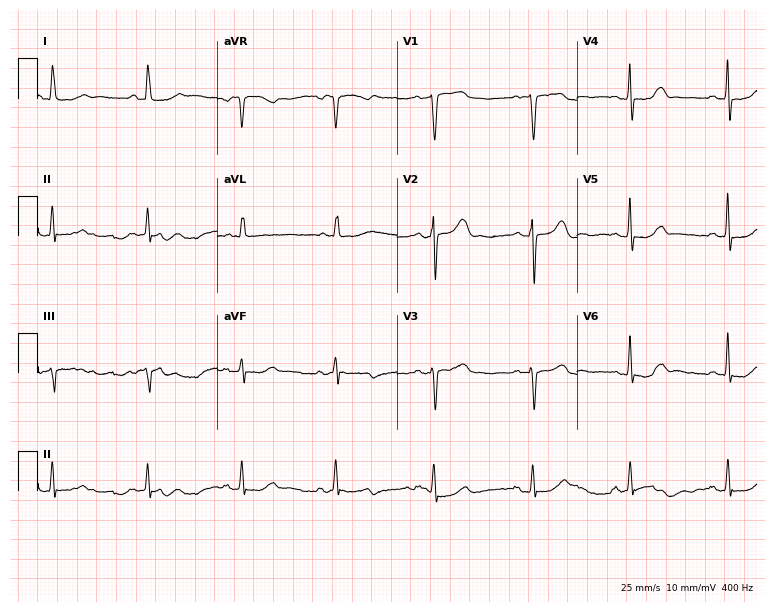
12-lead ECG from a 56-year-old female patient (7.3-second recording at 400 Hz). No first-degree AV block, right bundle branch block (RBBB), left bundle branch block (LBBB), sinus bradycardia, atrial fibrillation (AF) or sinus tachycardia recorded for this tracing.